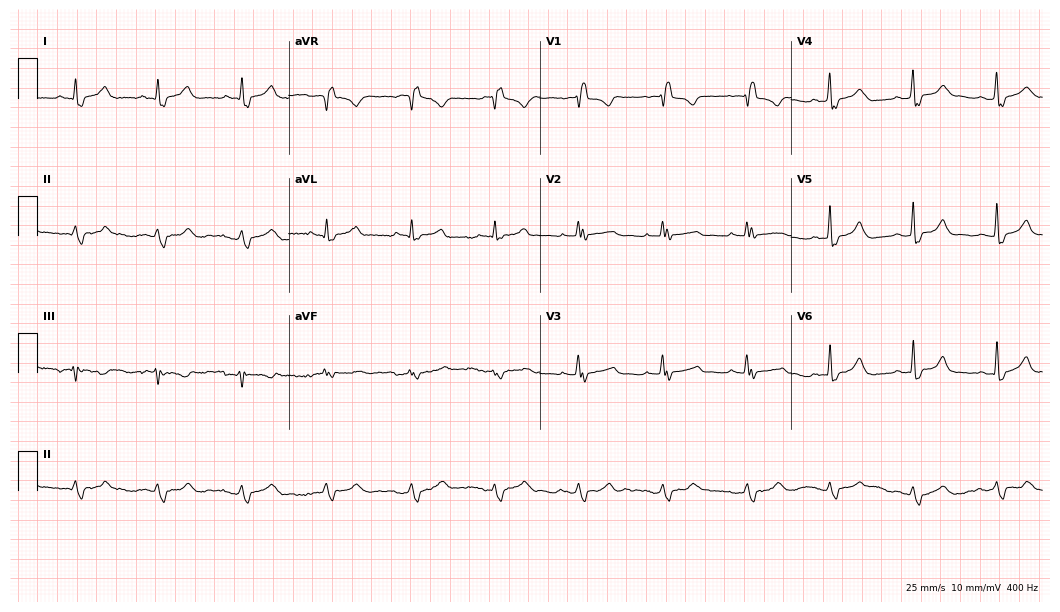
12-lead ECG from a female patient, 37 years old (10.2-second recording at 400 Hz). Shows right bundle branch block.